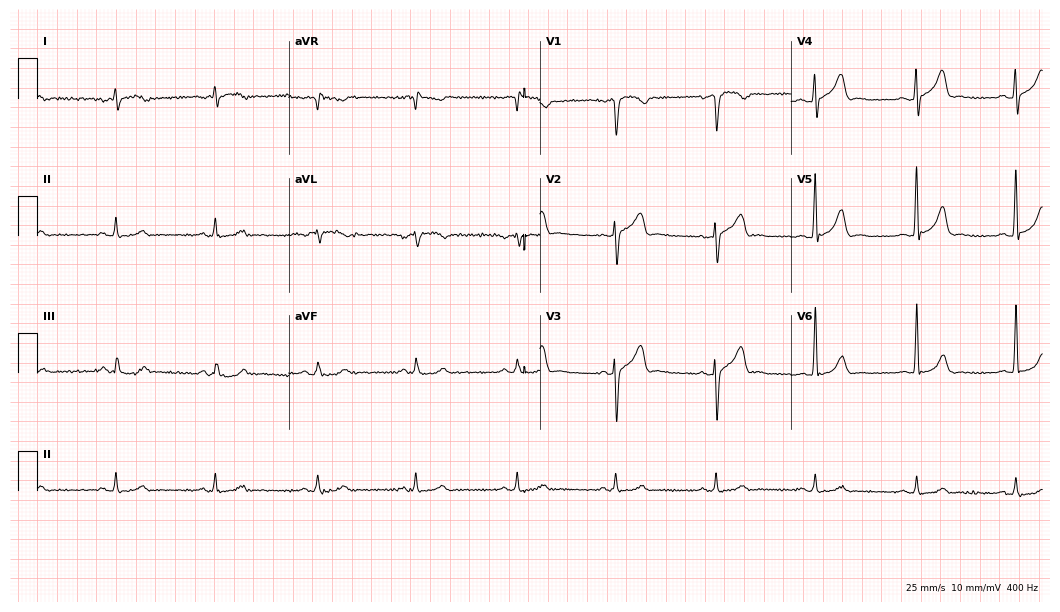
Resting 12-lead electrocardiogram. Patient: a female, 85 years old. None of these six findings is recorded: first-degree AV block, right bundle branch block, left bundle branch block, sinus bradycardia, atrial fibrillation, sinus tachycardia. Other findings, if any, are not listed.